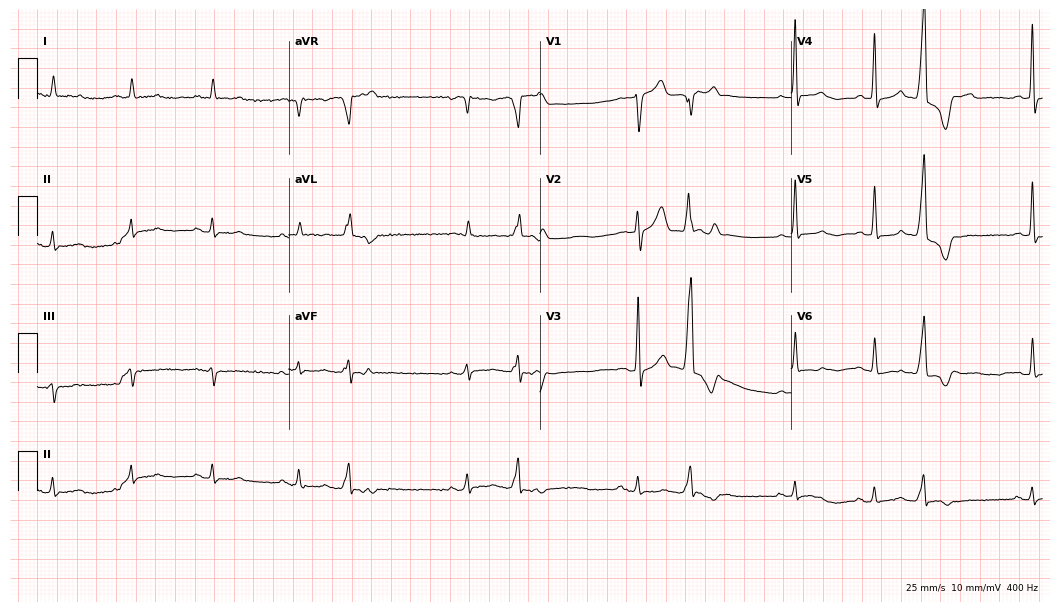
12-lead ECG (10.2-second recording at 400 Hz) from an 85-year-old man. Screened for six findings — first-degree AV block, right bundle branch block (RBBB), left bundle branch block (LBBB), sinus bradycardia, atrial fibrillation (AF), sinus tachycardia — none is recorded. Only these six findings were labelled.